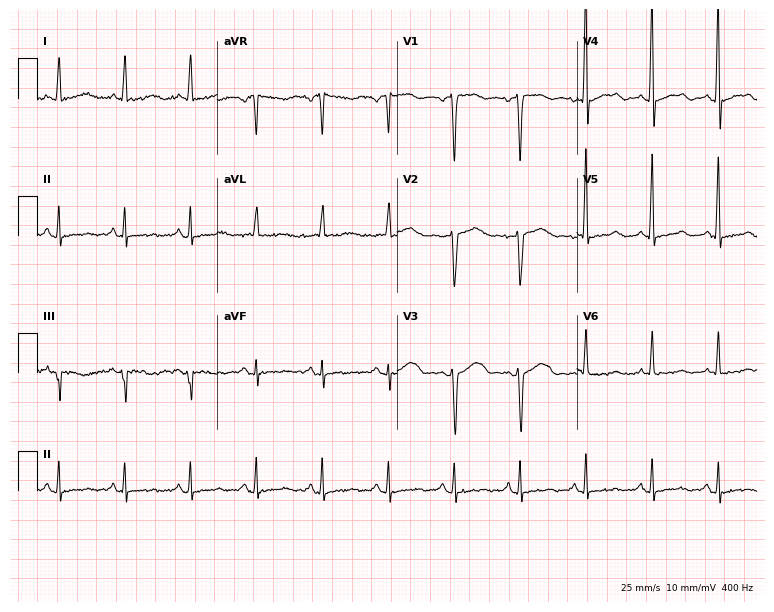
12-lead ECG from a 78-year-old woman. Recorded interpretation: within normal limits.